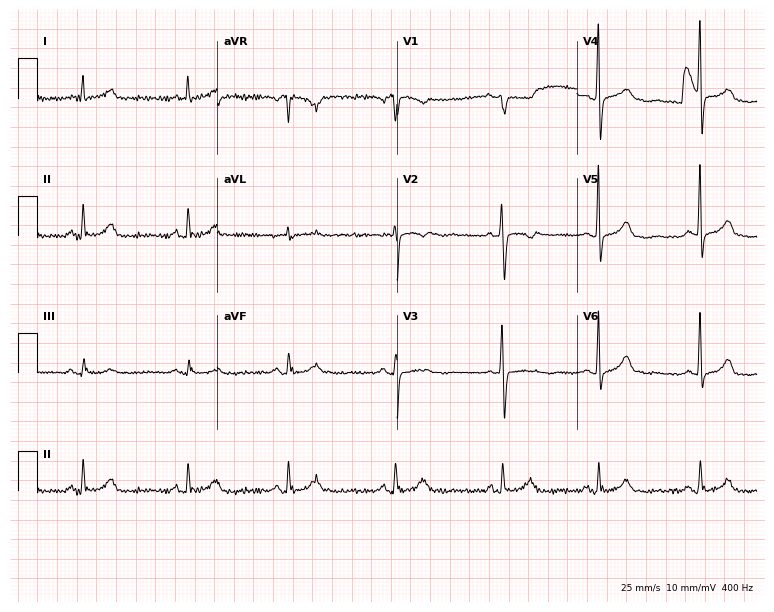
12-lead ECG from a woman, 44 years old. Labelled as a normal ECG.